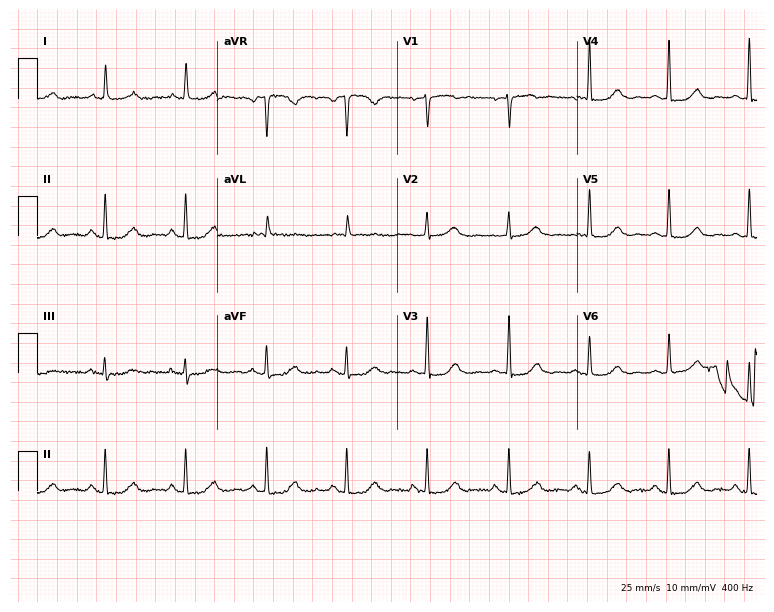
12-lead ECG from a woman, 82 years old. Recorded interpretation: within normal limits.